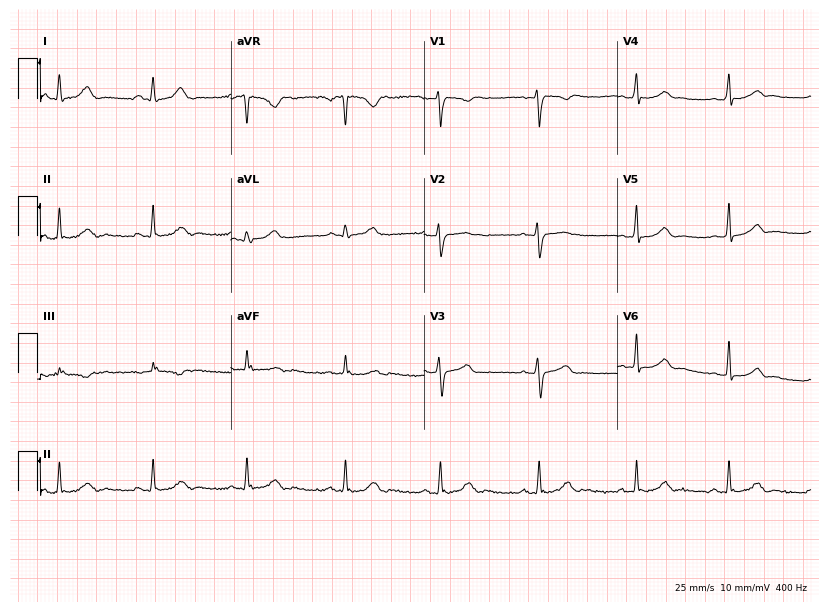
12-lead ECG (7.9-second recording at 400 Hz) from a female, 27 years old. Labelled as a normal ECG.